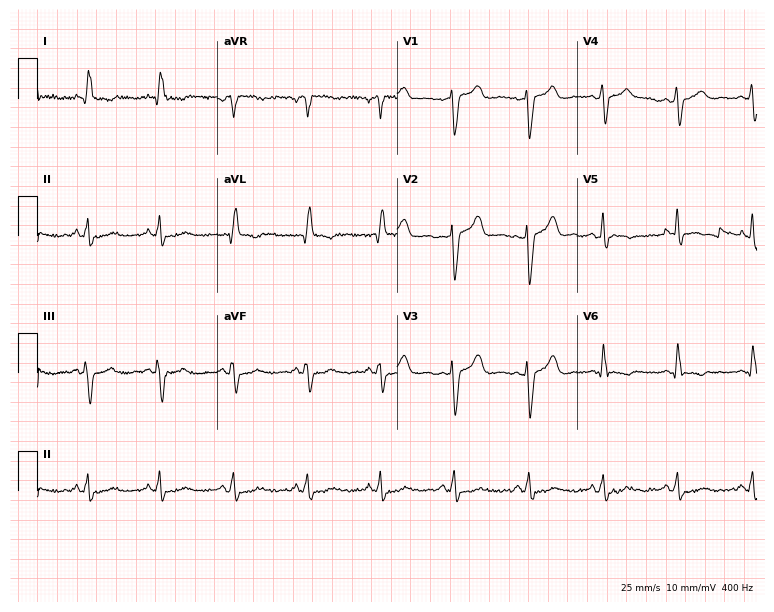
Standard 12-lead ECG recorded from a 46-year-old female patient. None of these six findings is recorded: first-degree AV block, right bundle branch block, left bundle branch block, sinus bradycardia, atrial fibrillation, sinus tachycardia. Findings outside these six are not listed.